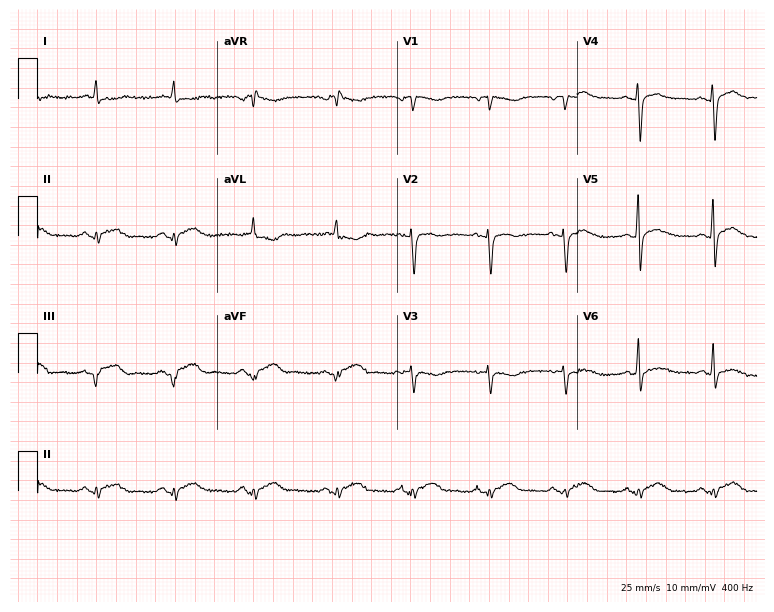
Electrocardiogram (7.3-second recording at 400 Hz), a 72-year-old man. Overall reading on record: normal ECG.